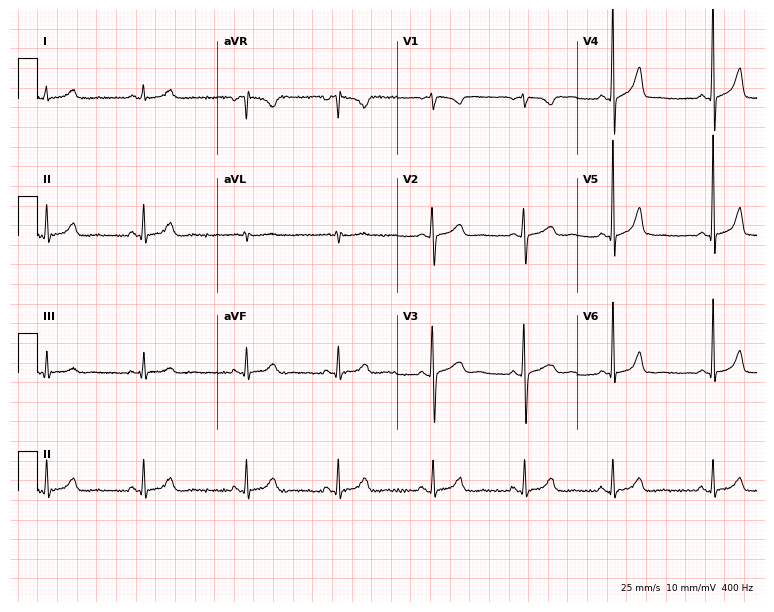
Resting 12-lead electrocardiogram. Patient: a 17-year-old female. Read as a normal ECG.